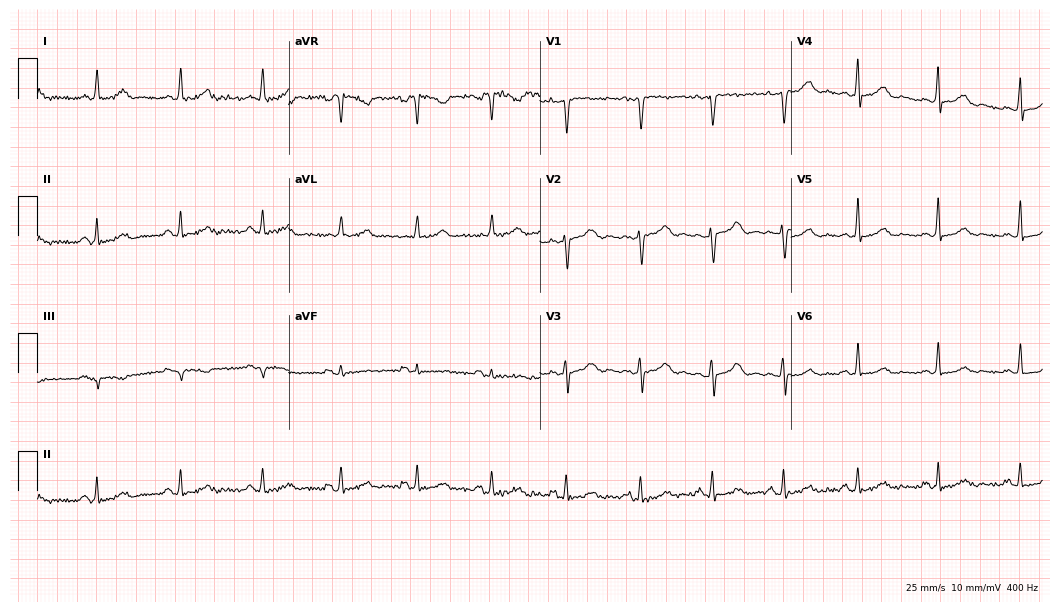
12-lead ECG (10.2-second recording at 400 Hz) from a 34-year-old woman. Screened for six findings — first-degree AV block, right bundle branch block (RBBB), left bundle branch block (LBBB), sinus bradycardia, atrial fibrillation (AF), sinus tachycardia — none is recorded.